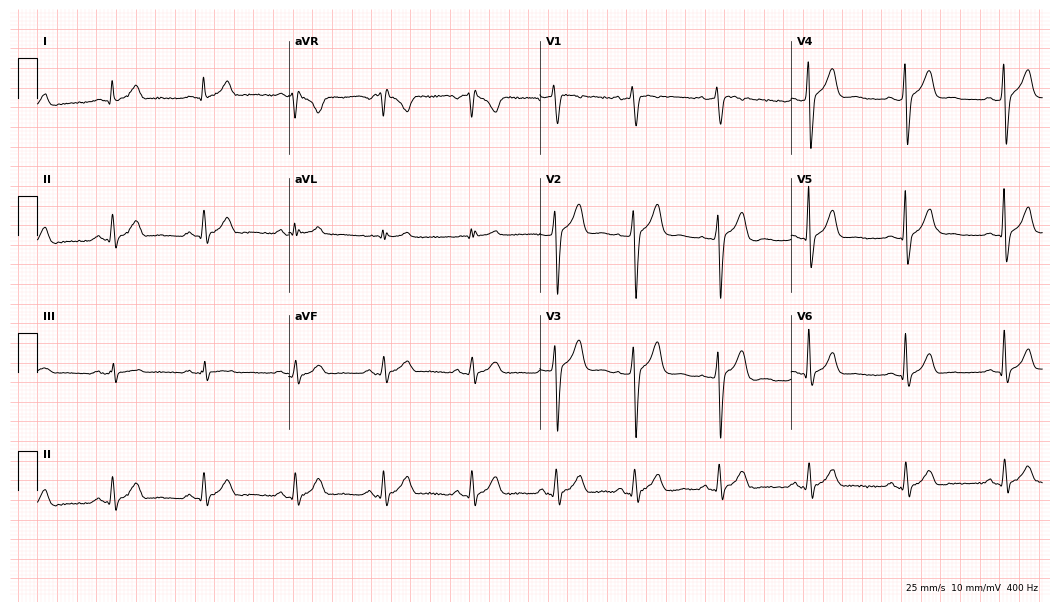
12-lead ECG (10.2-second recording at 400 Hz) from a 37-year-old male. Screened for six findings — first-degree AV block, right bundle branch block, left bundle branch block, sinus bradycardia, atrial fibrillation, sinus tachycardia — none is recorded.